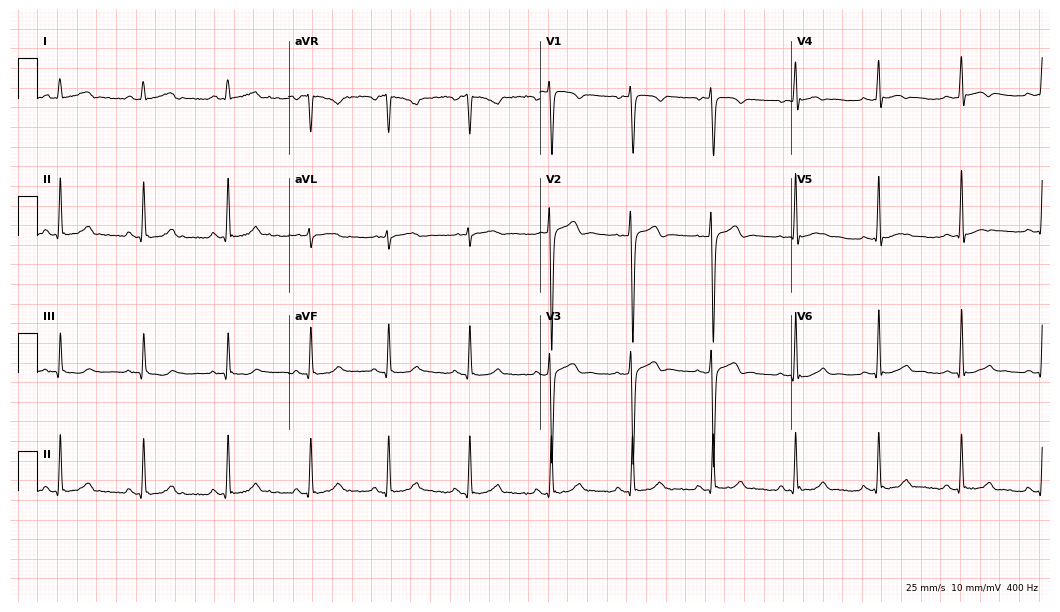
ECG — a male patient, 21 years old. Labelled as a normal ECG.